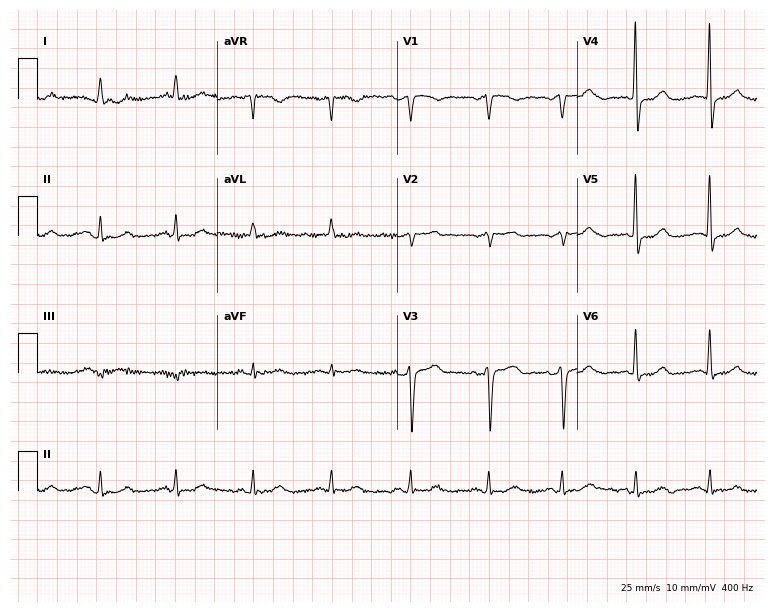
12-lead ECG from a female patient, 80 years old (7.3-second recording at 400 Hz). No first-degree AV block, right bundle branch block (RBBB), left bundle branch block (LBBB), sinus bradycardia, atrial fibrillation (AF) or sinus tachycardia recorded for this tracing.